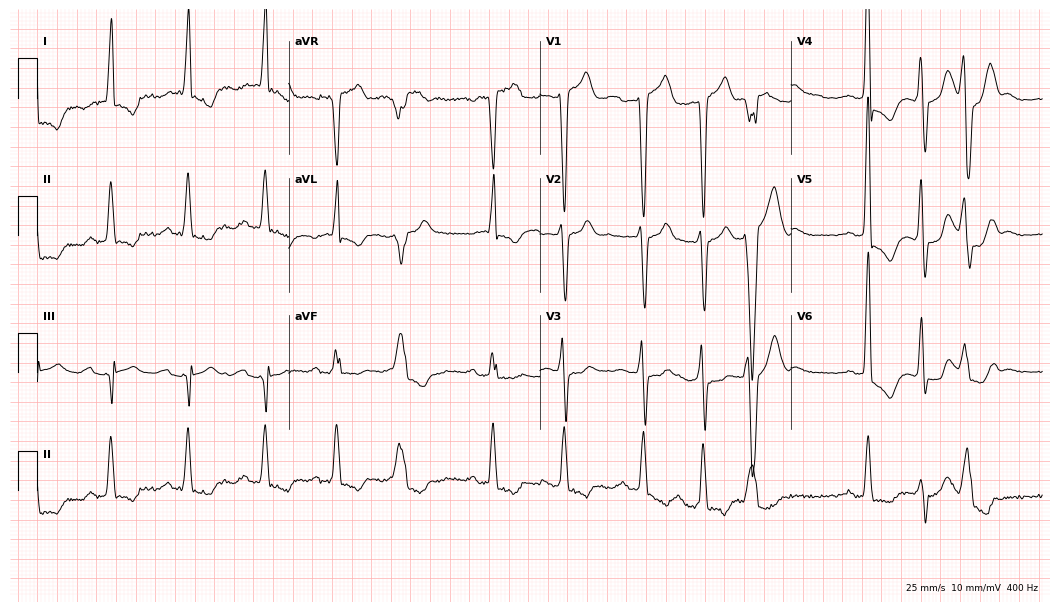
ECG — a 69-year-old female patient. Screened for six findings — first-degree AV block, right bundle branch block, left bundle branch block, sinus bradycardia, atrial fibrillation, sinus tachycardia — none is recorded.